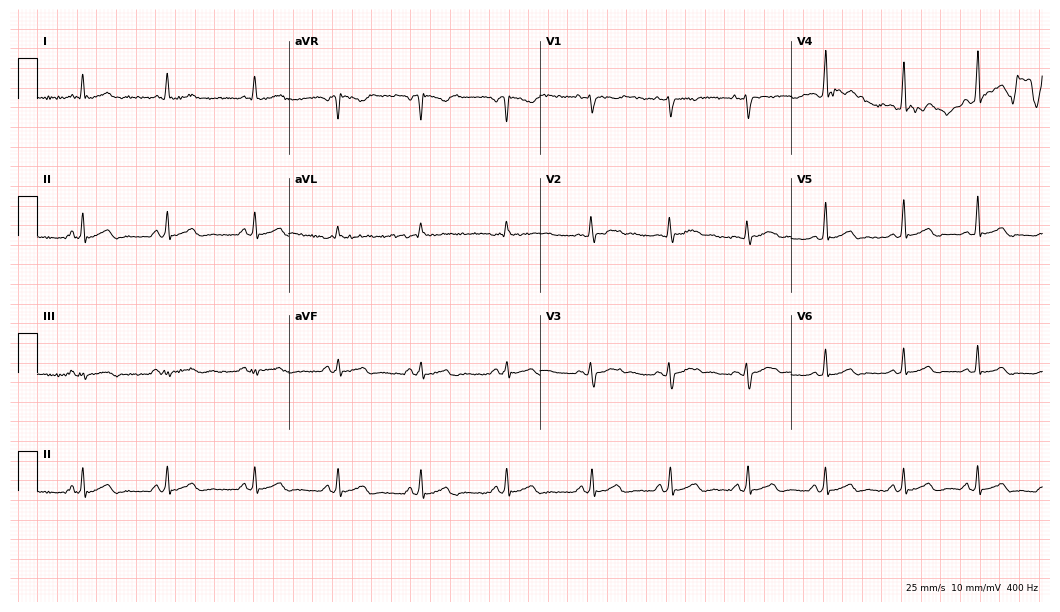
Resting 12-lead electrocardiogram (10.2-second recording at 400 Hz). Patient: an 18-year-old woman. None of these six findings is recorded: first-degree AV block, right bundle branch block (RBBB), left bundle branch block (LBBB), sinus bradycardia, atrial fibrillation (AF), sinus tachycardia.